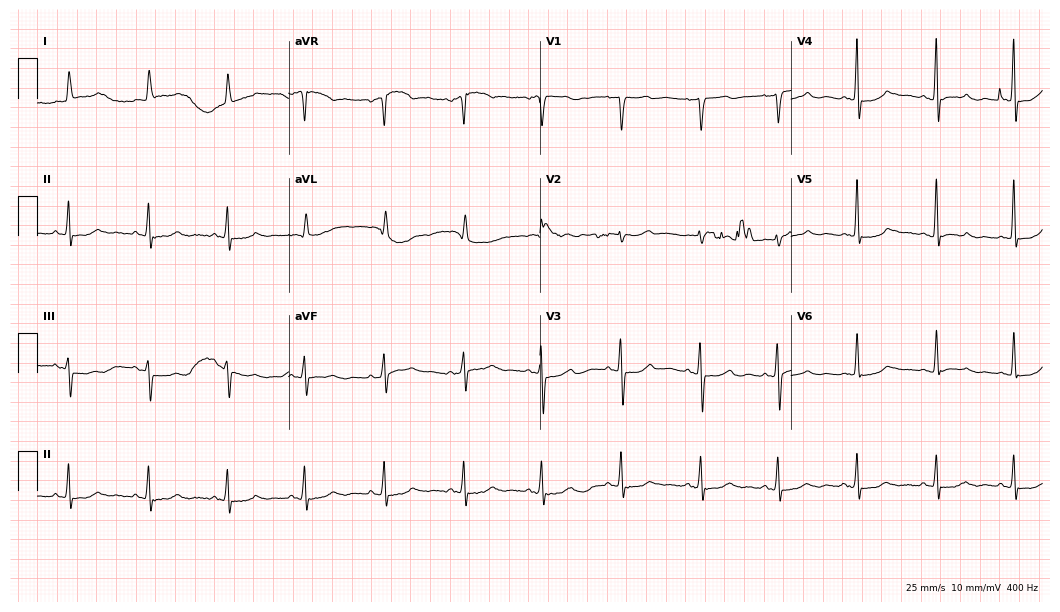
12-lead ECG from a female patient, 85 years old. No first-degree AV block, right bundle branch block (RBBB), left bundle branch block (LBBB), sinus bradycardia, atrial fibrillation (AF) or sinus tachycardia recorded for this tracing.